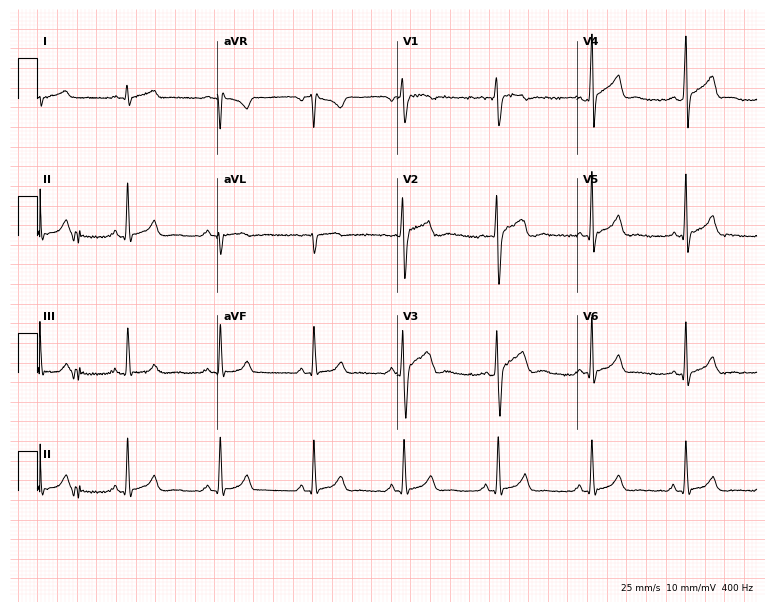
12-lead ECG (7.3-second recording at 400 Hz) from a 21-year-old man. Labelled as a normal ECG.